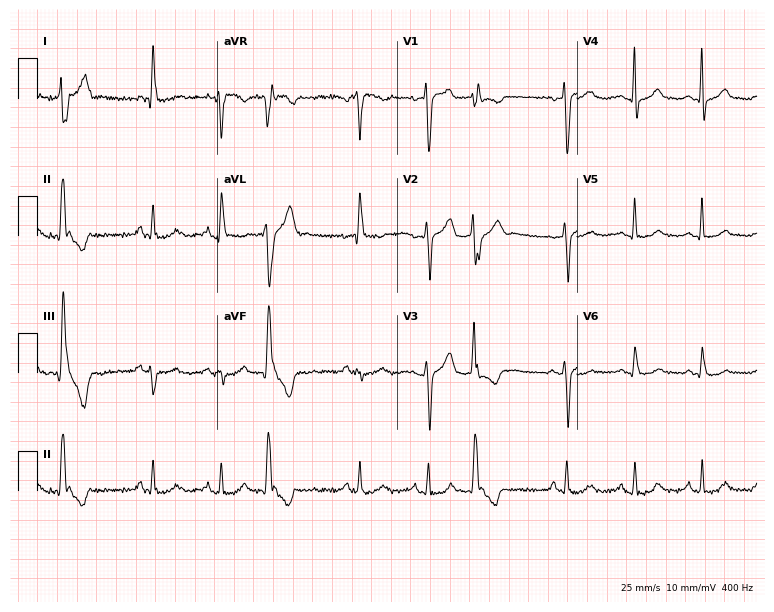
Standard 12-lead ECG recorded from a 55-year-old female (7.3-second recording at 400 Hz). None of these six findings is recorded: first-degree AV block, right bundle branch block, left bundle branch block, sinus bradycardia, atrial fibrillation, sinus tachycardia. Only these six findings were labelled.